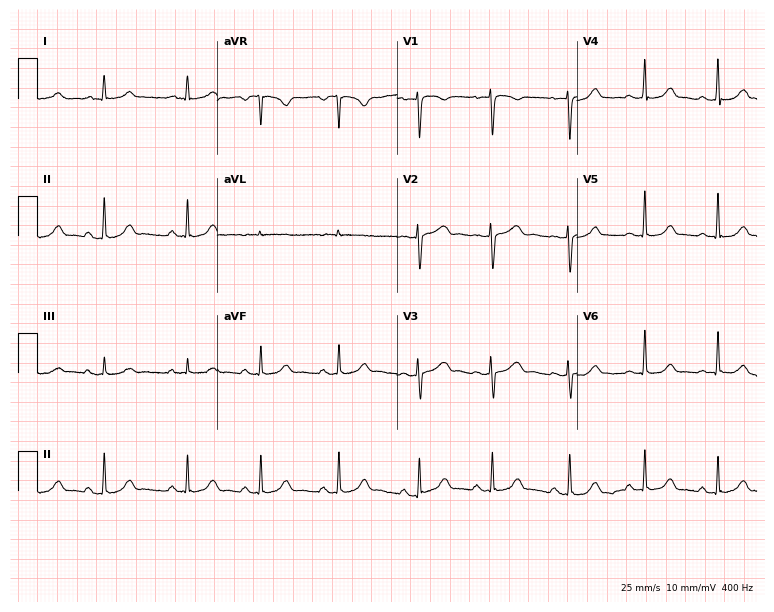
12-lead ECG from a female patient, 27 years old. Labelled as a normal ECG.